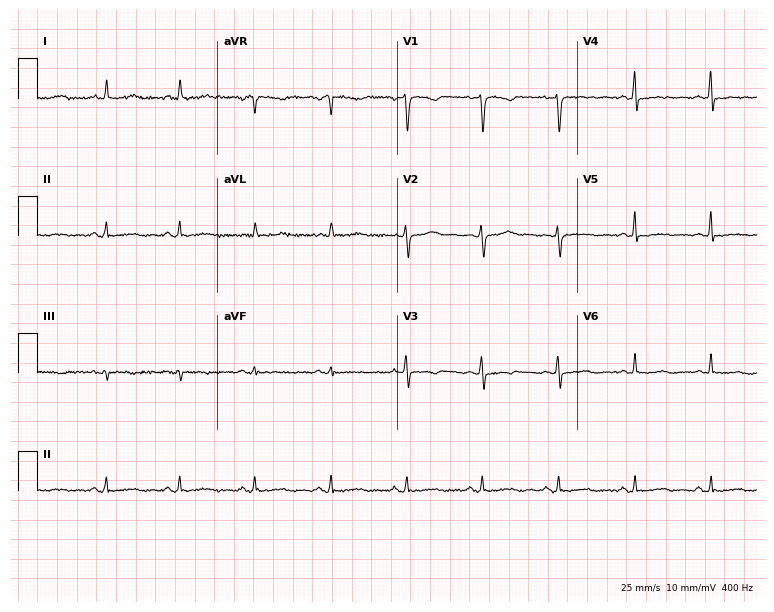
Standard 12-lead ECG recorded from a woman, 45 years old (7.3-second recording at 400 Hz). Read as a normal ECG.